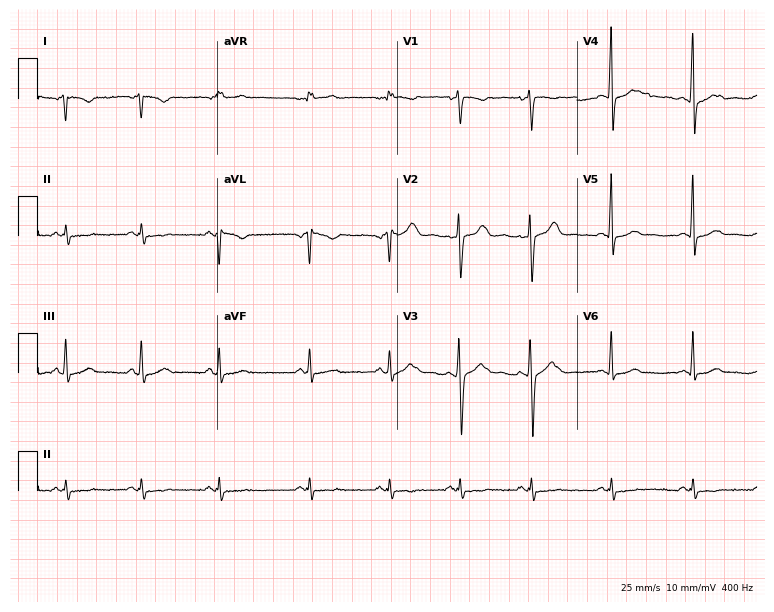
Electrocardiogram (7.3-second recording at 400 Hz), a female, 19 years old. Of the six screened findings (first-degree AV block, right bundle branch block (RBBB), left bundle branch block (LBBB), sinus bradycardia, atrial fibrillation (AF), sinus tachycardia), none is recorded. Findings outside these six are not listed.